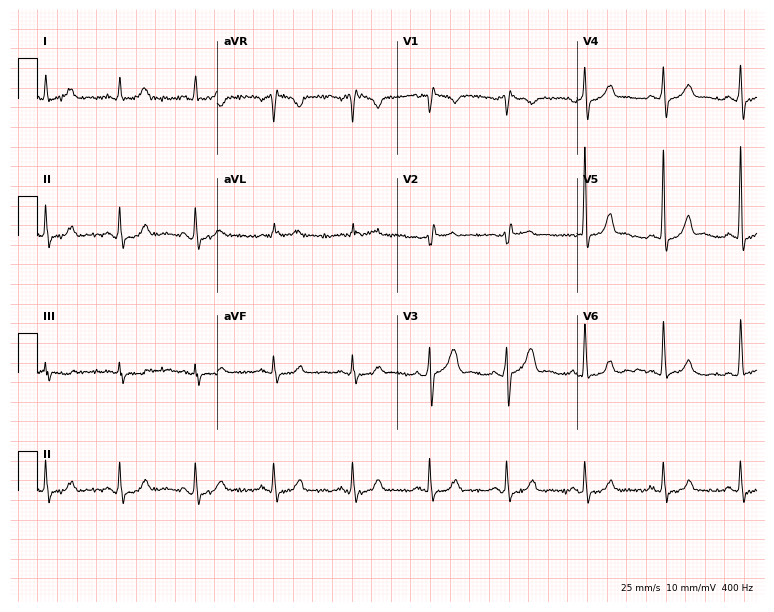
ECG (7.3-second recording at 400 Hz) — a 53-year-old male patient. Screened for six findings — first-degree AV block, right bundle branch block (RBBB), left bundle branch block (LBBB), sinus bradycardia, atrial fibrillation (AF), sinus tachycardia — none is recorded. Findings outside these six are not listed.